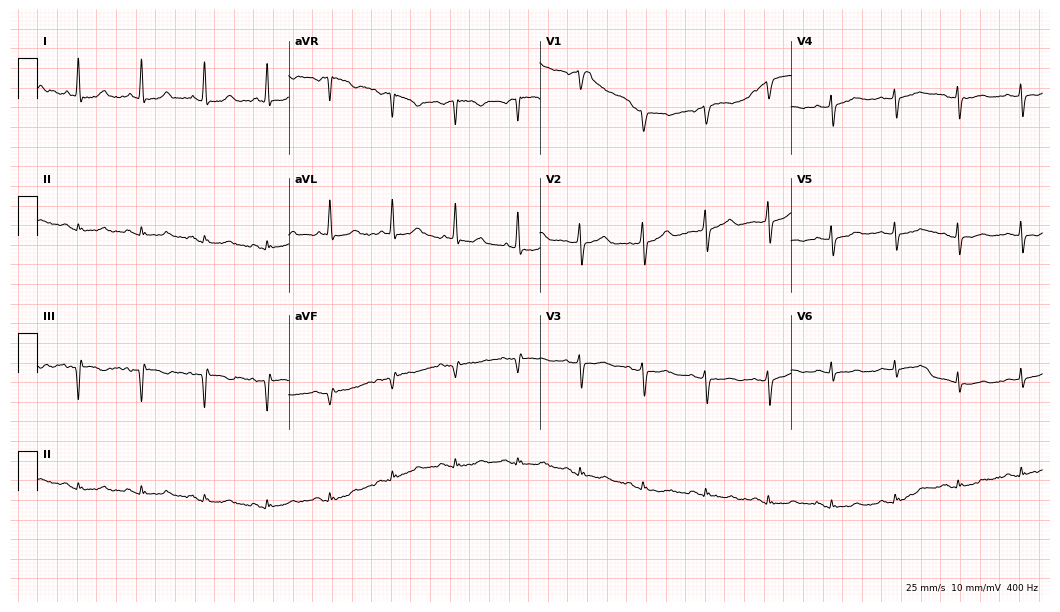
ECG (10.2-second recording at 400 Hz) — a 73-year-old woman. Screened for six findings — first-degree AV block, right bundle branch block, left bundle branch block, sinus bradycardia, atrial fibrillation, sinus tachycardia — none is recorded.